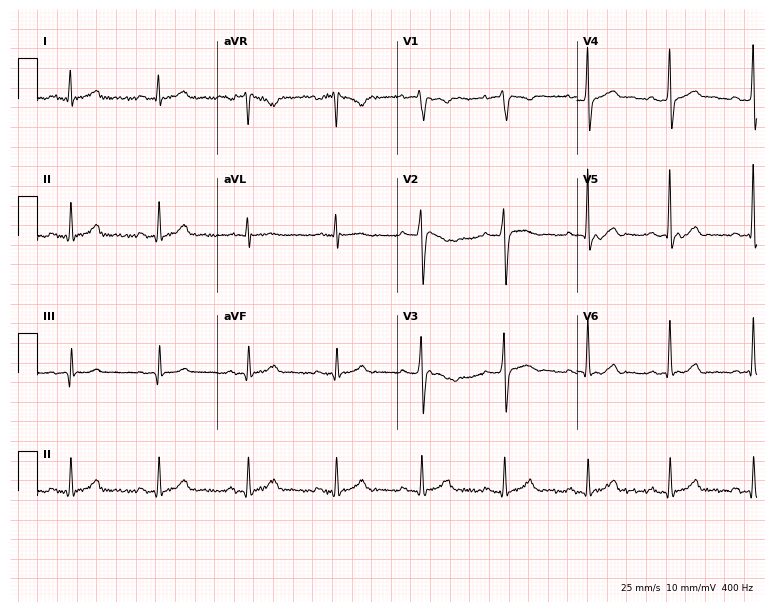
12-lead ECG (7.3-second recording at 400 Hz) from a man, 38 years old. Labelled as a normal ECG.